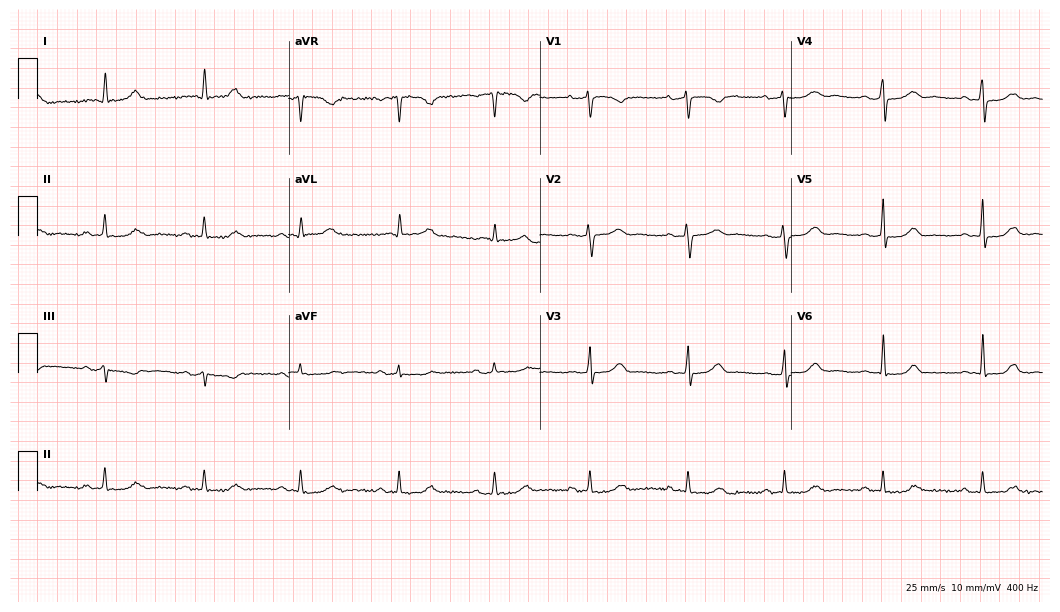
Electrocardiogram, a 67-year-old female patient. Of the six screened findings (first-degree AV block, right bundle branch block (RBBB), left bundle branch block (LBBB), sinus bradycardia, atrial fibrillation (AF), sinus tachycardia), none is recorded. Findings outside these six are not listed.